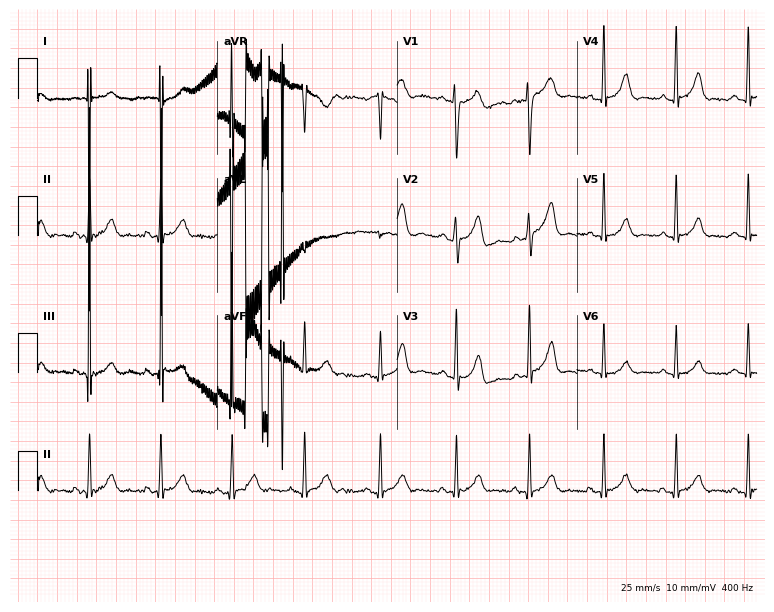
Resting 12-lead electrocardiogram (7.3-second recording at 400 Hz). Patient: an 18-year-old woman. Read as a normal ECG.